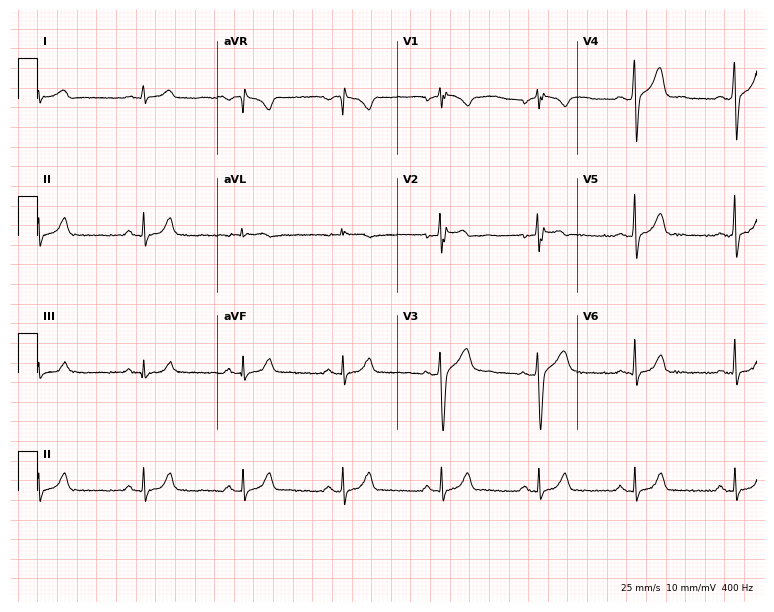
ECG — a male, 29 years old. Labelled as a normal ECG.